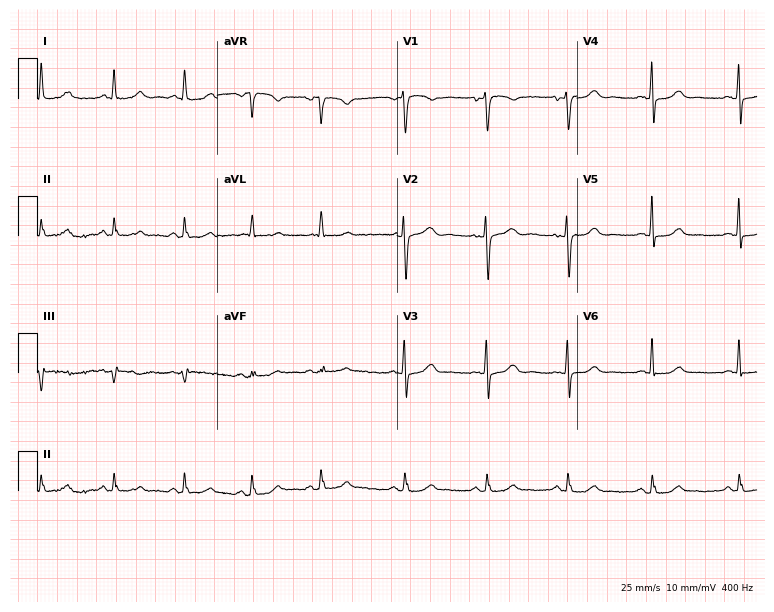
ECG (7.3-second recording at 400 Hz) — a woman, 54 years old. Labelled as a normal ECG.